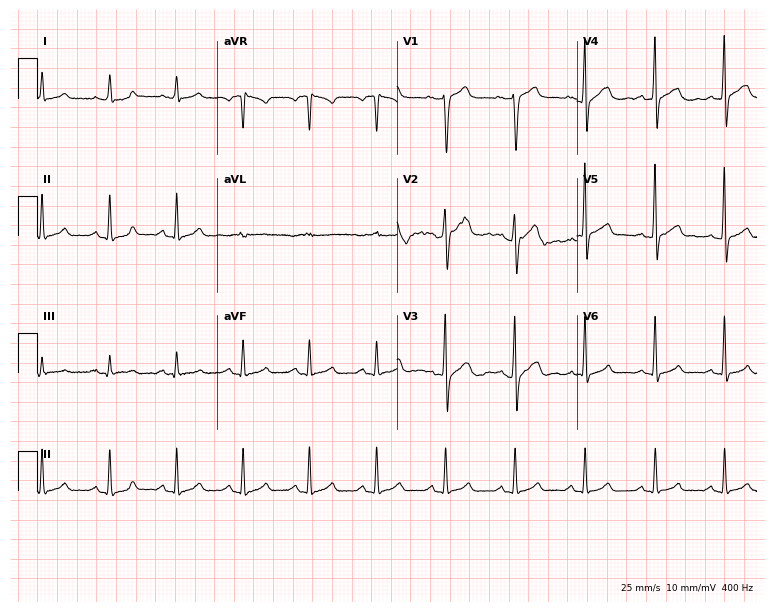
12-lead ECG from a male patient, 52 years old. Labelled as a normal ECG.